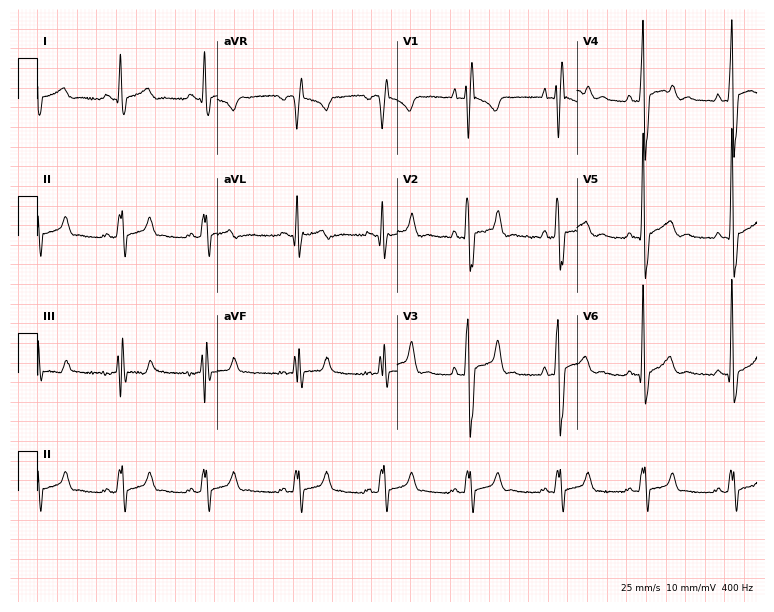
12-lead ECG from a male, 28 years old. Findings include right bundle branch block.